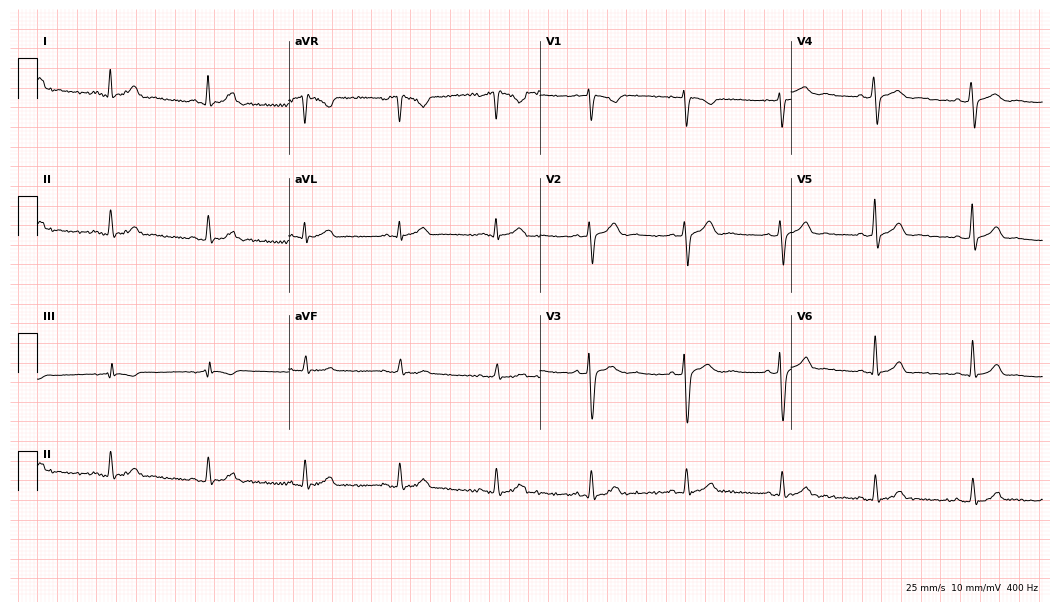
12-lead ECG from a male, 29 years old (10.2-second recording at 400 Hz). Recorded interpretation: within normal limits.